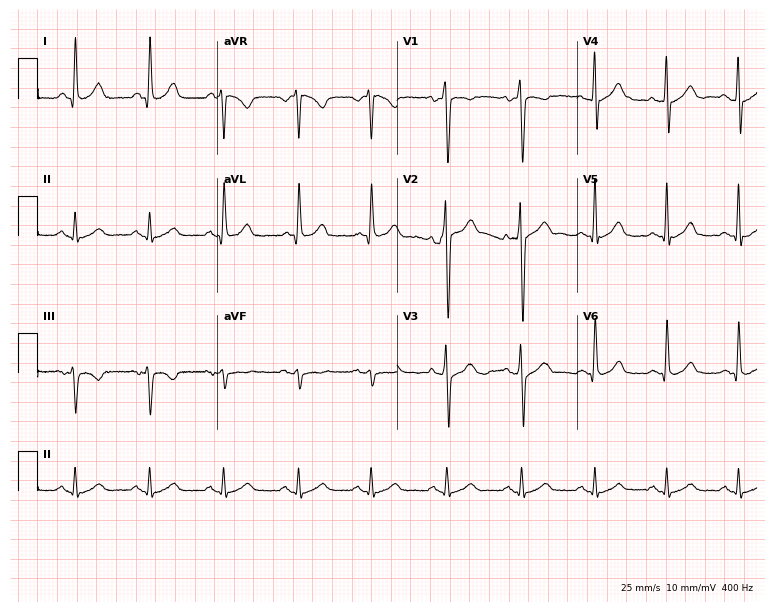
ECG — a 59-year-old male patient. Screened for six findings — first-degree AV block, right bundle branch block, left bundle branch block, sinus bradycardia, atrial fibrillation, sinus tachycardia — none is recorded.